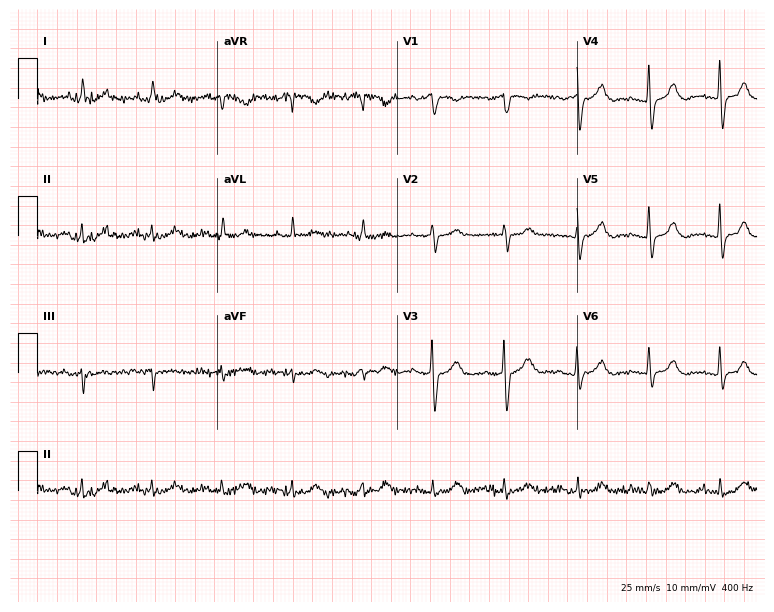
Electrocardiogram (7.3-second recording at 400 Hz), a male, 81 years old. Overall reading on record: normal ECG.